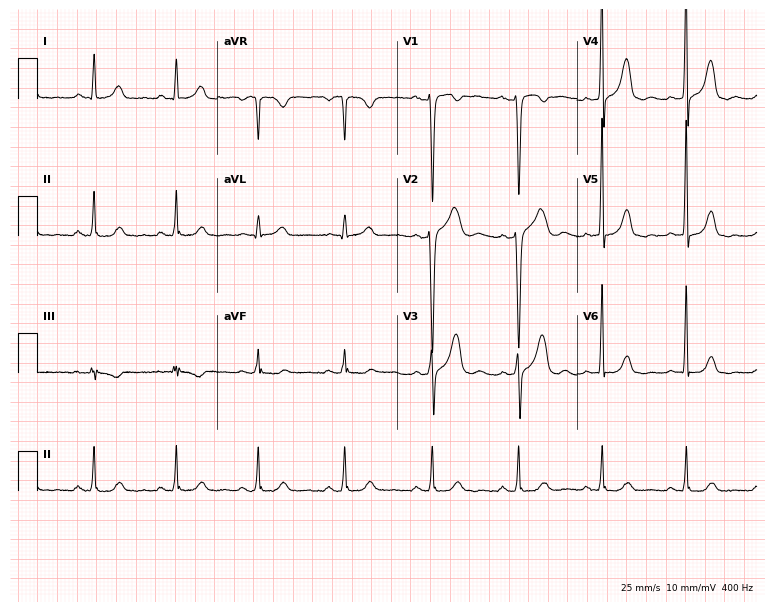
Resting 12-lead electrocardiogram (7.3-second recording at 400 Hz). Patient: a 41-year-old female. None of these six findings is recorded: first-degree AV block, right bundle branch block (RBBB), left bundle branch block (LBBB), sinus bradycardia, atrial fibrillation (AF), sinus tachycardia.